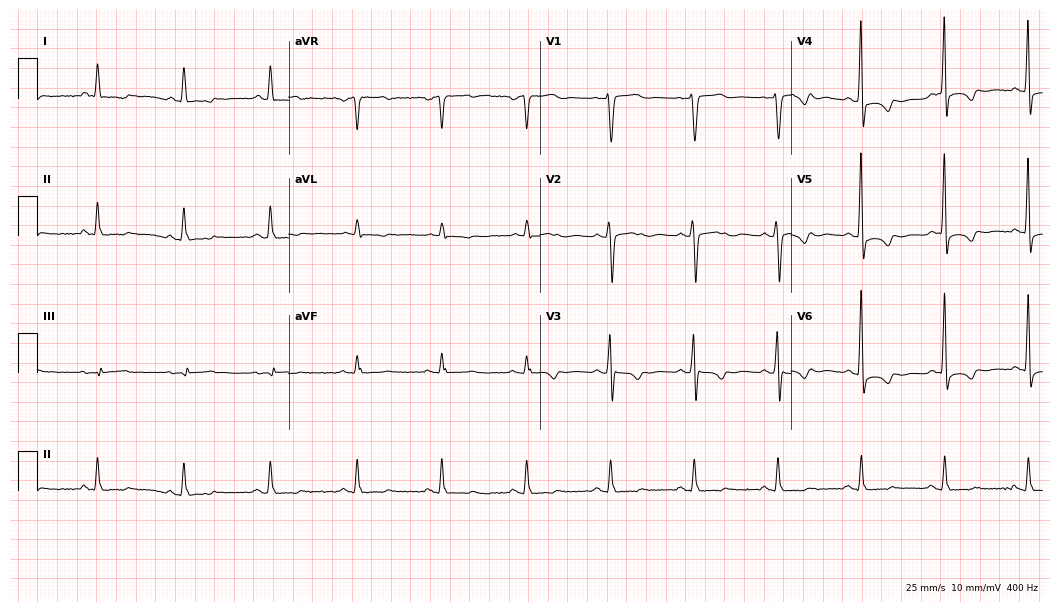
12-lead ECG (10.2-second recording at 400 Hz) from a 68-year-old female. Screened for six findings — first-degree AV block, right bundle branch block, left bundle branch block, sinus bradycardia, atrial fibrillation, sinus tachycardia — none is recorded.